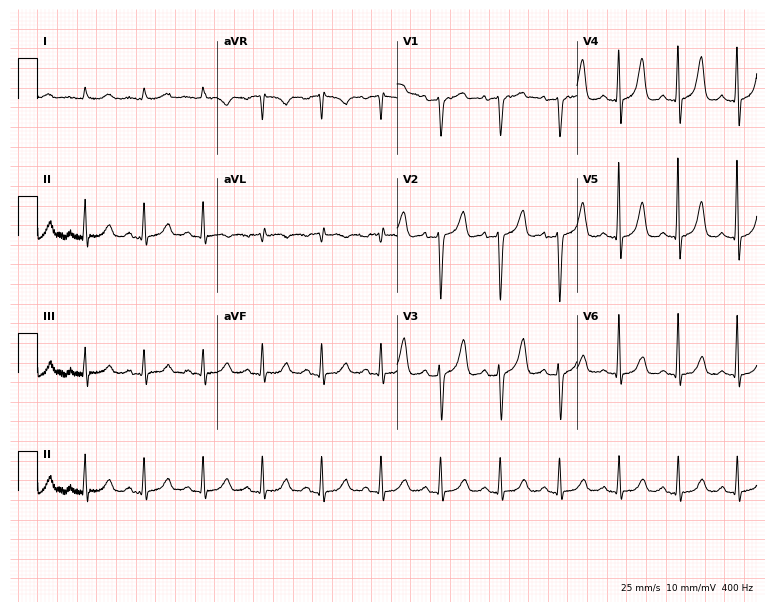
12-lead ECG from a 78-year-old female patient. No first-degree AV block, right bundle branch block, left bundle branch block, sinus bradycardia, atrial fibrillation or sinus tachycardia recorded for this tracing. Other findings, if any, are not listed.